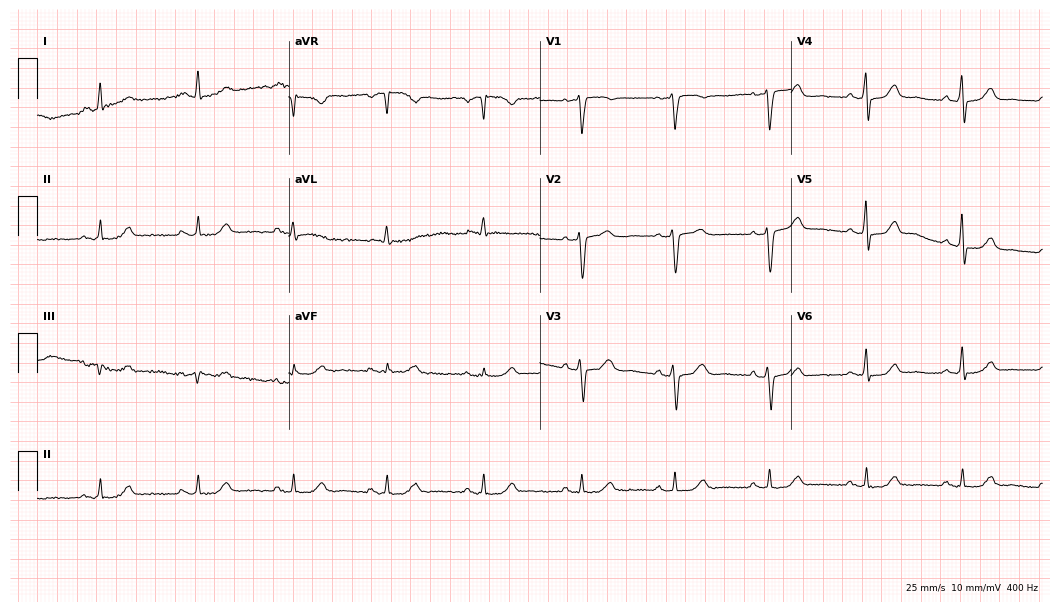
12-lead ECG from a female, 60 years old. Recorded interpretation: within normal limits.